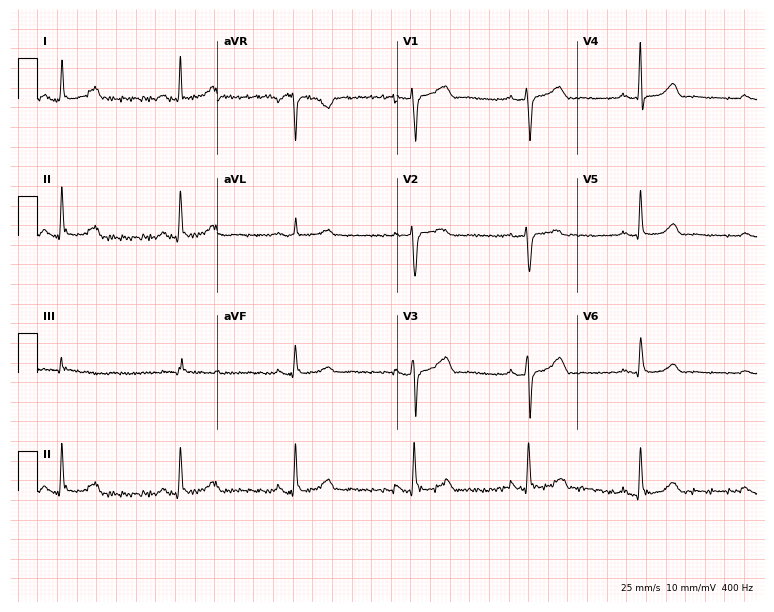
Resting 12-lead electrocardiogram (7.3-second recording at 400 Hz). Patient: a female, 49 years old. Read as a normal ECG.